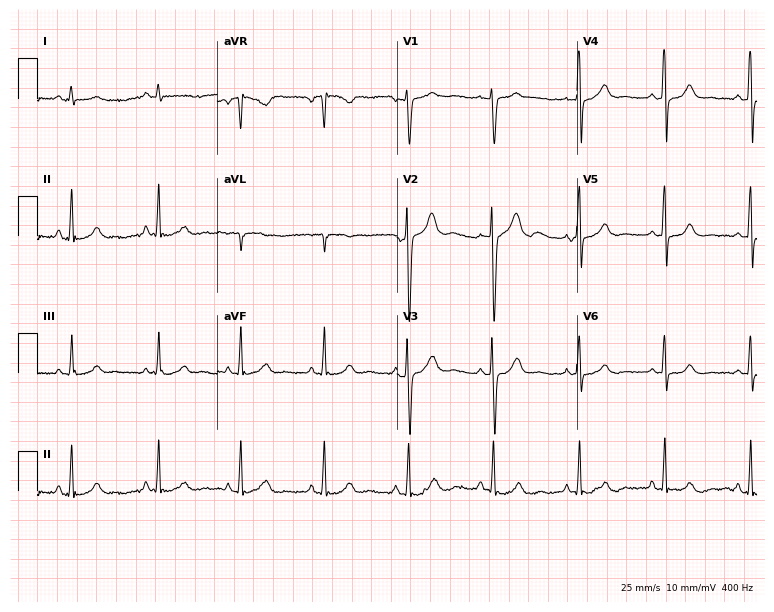
Resting 12-lead electrocardiogram (7.3-second recording at 400 Hz). Patient: a 26-year-old woman. None of these six findings is recorded: first-degree AV block, right bundle branch block, left bundle branch block, sinus bradycardia, atrial fibrillation, sinus tachycardia.